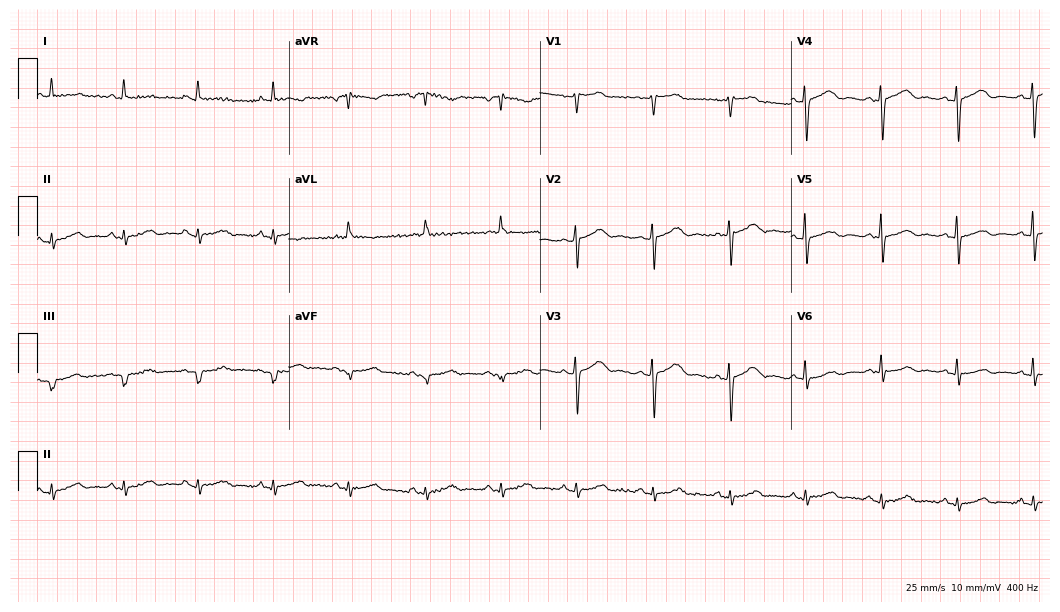
ECG (10.2-second recording at 400 Hz) — a woman, 79 years old. Screened for six findings — first-degree AV block, right bundle branch block, left bundle branch block, sinus bradycardia, atrial fibrillation, sinus tachycardia — none is recorded. Other findings, if any, are not listed.